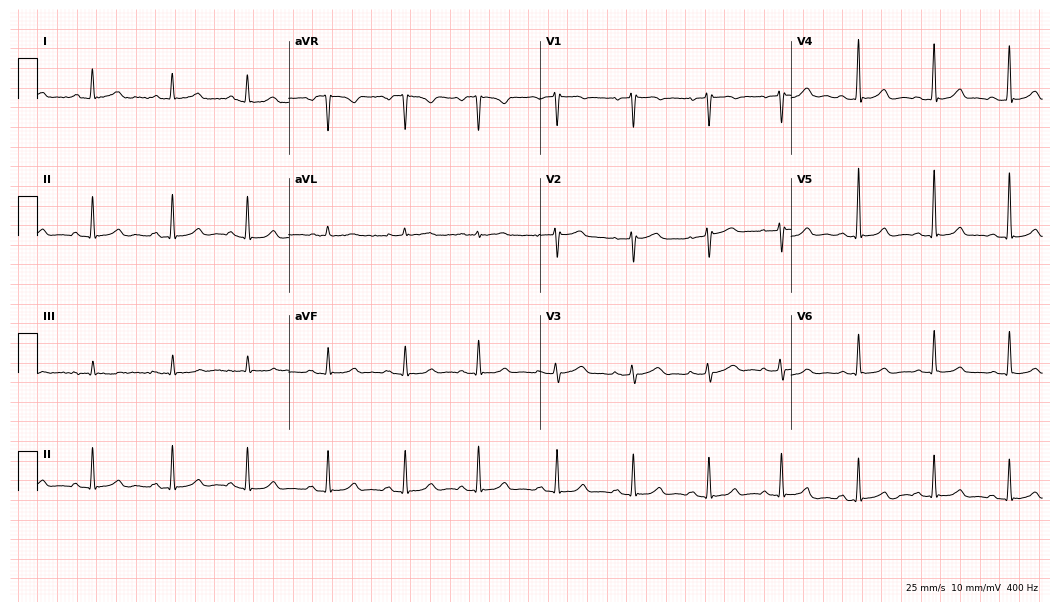
Electrocardiogram, a female patient, 53 years old. Overall reading on record: normal ECG.